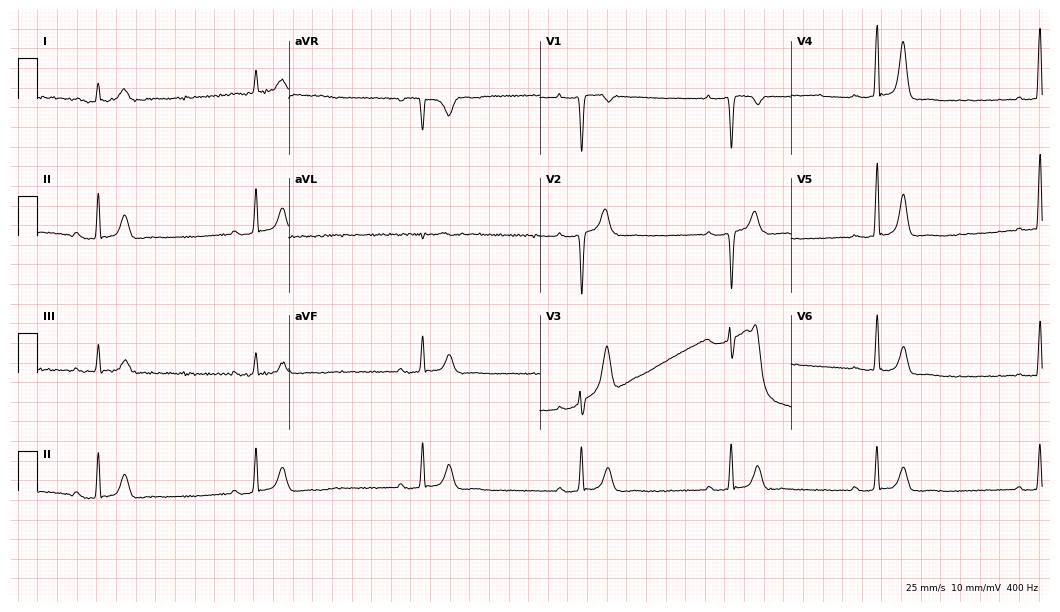
Electrocardiogram (10.2-second recording at 400 Hz), a 38-year-old female. Of the six screened findings (first-degree AV block, right bundle branch block (RBBB), left bundle branch block (LBBB), sinus bradycardia, atrial fibrillation (AF), sinus tachycardia), none is recorded.